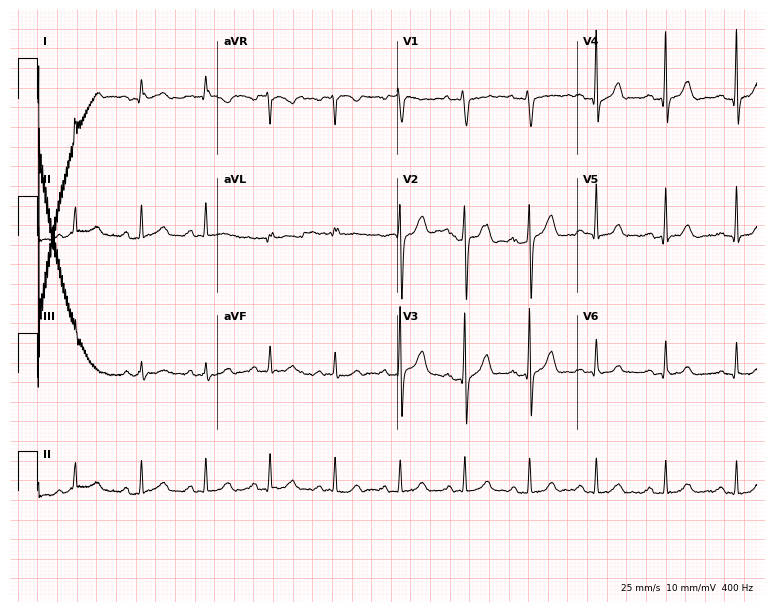
Electrocardiogram, a 54-year-old male patient. Overall reading on record: normal ECG.